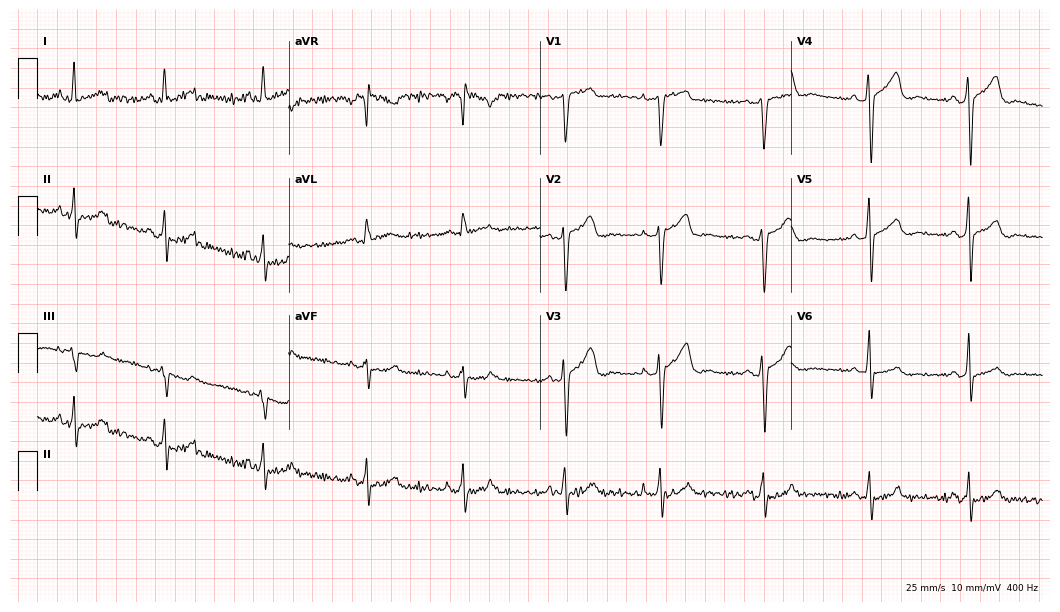
ECG — a 32-year-old woman. Screened for six findings — first-degree AV block, right bundle branch block, left bundle branch block, sinus bradycardia, atrial fibrillation, sinus tachycardia — none is recorded. Only these six findings were labelled.